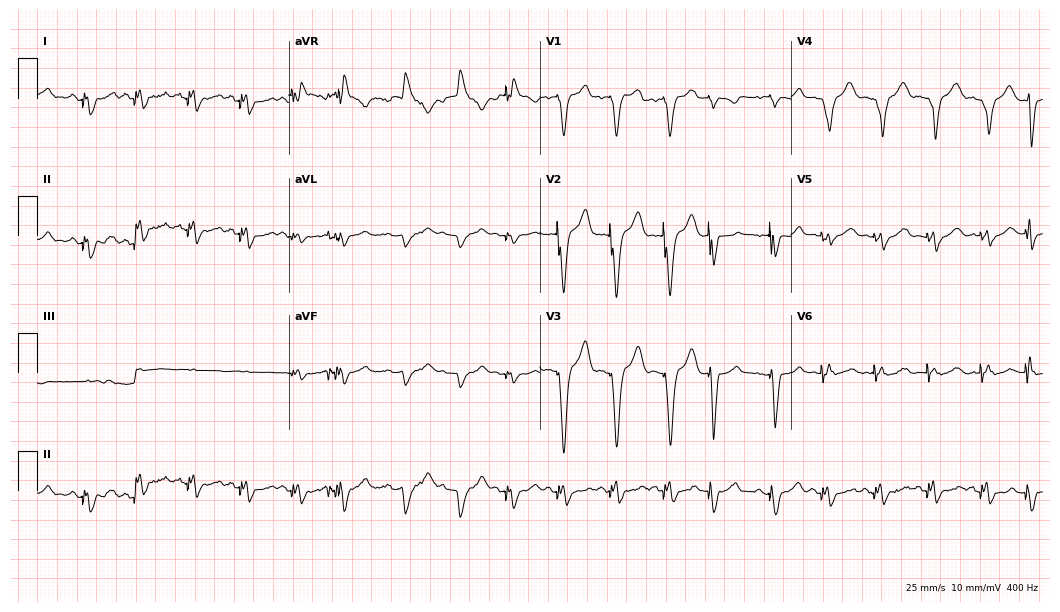
ECG (10.2-second recording at 400 Hz) — a woman, 81 years old. Screened for six findings — first-degree AV block, right bundle branch block, left bundle branch block, sinus bradycardia, atrial fibrillation, sinus tachycardia — none is recorded.